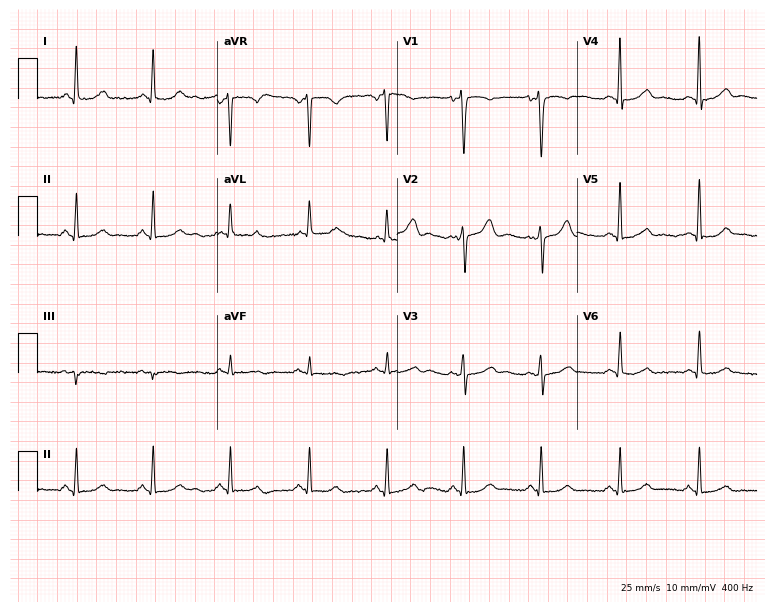
ECG (7.3-second recording at 400 Hz) — a female patient, 47 years old. Labelled as a normal ECG.